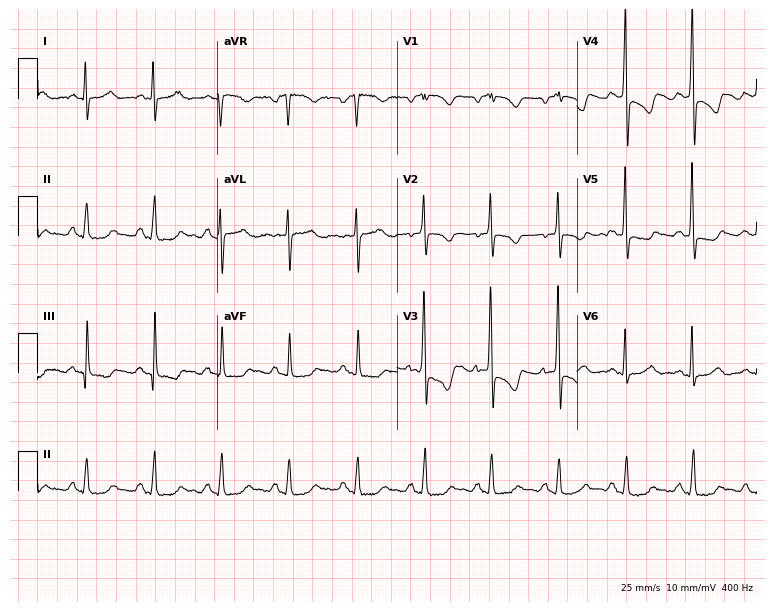
Electrocardiogram, a 53-year-old woman. Overall reading on record: normal ECG.